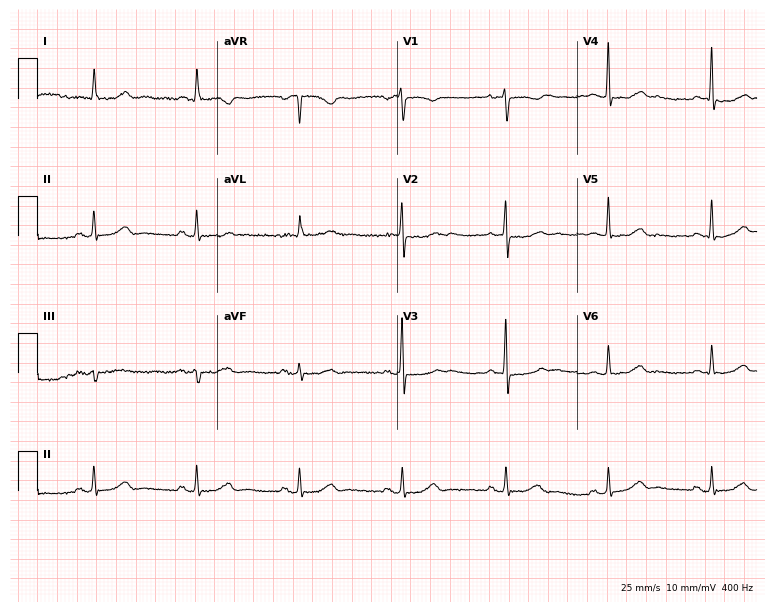
12-lead ECG from a female, 66 years old (7.3-second recording at 400 Hz). No first-degree AV block, right bundle branch block, left bundle branch block, sinus bradycardia, atrial fibrillation or sinus tachycardia recorded for this tracing.